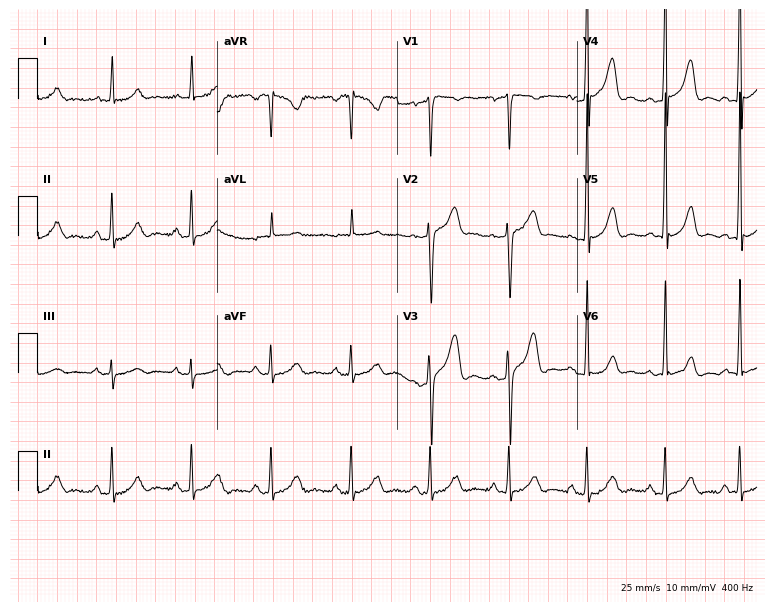
12-lead ECG (7.3-second recording at 400 Hz) from a 47-year-old male. Labelled as a normal ECG.